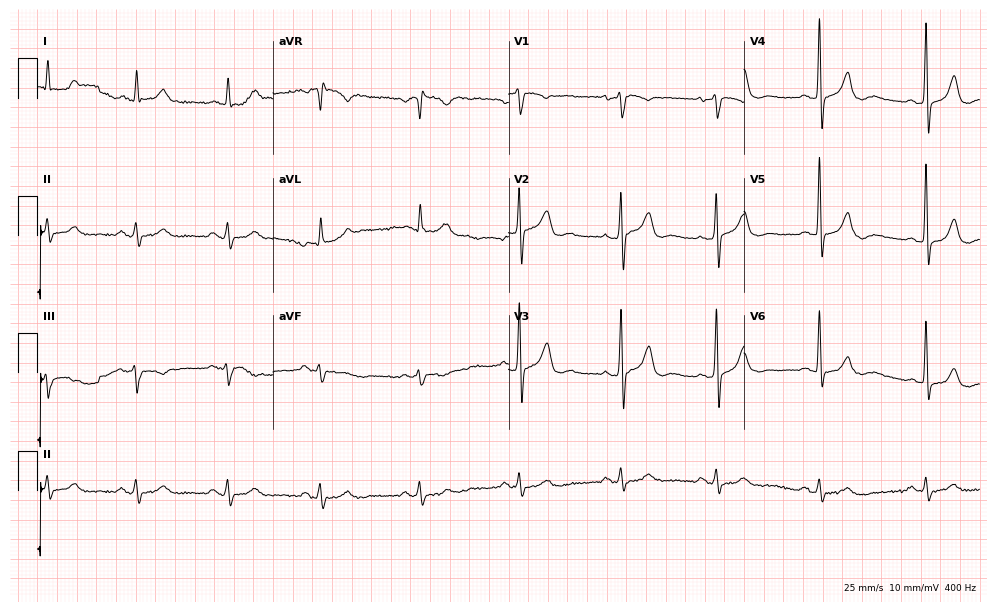
12-lead ECG (9.6-second recording at 400 Hz) from a 69-year-old man. Labelled as a normal ECG.